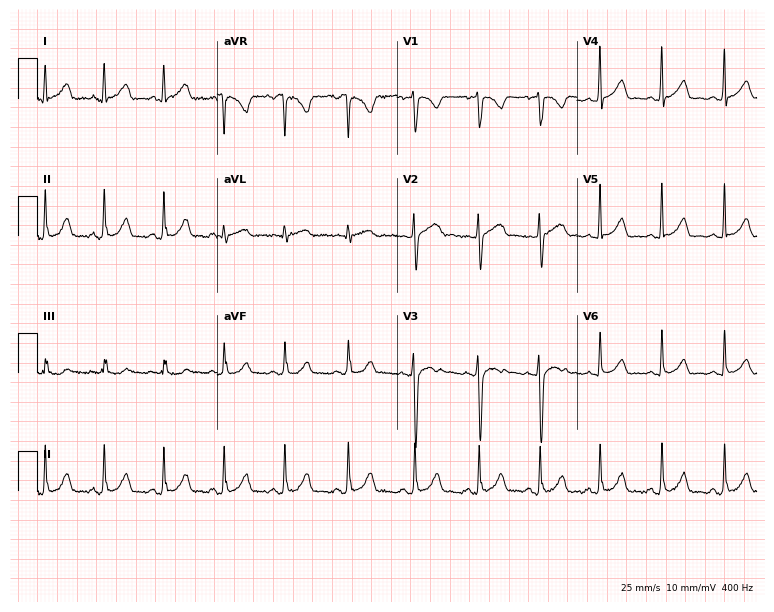
12-lead ECG from a 22-year-old female patient. Recorded interpretation: within normal limits.